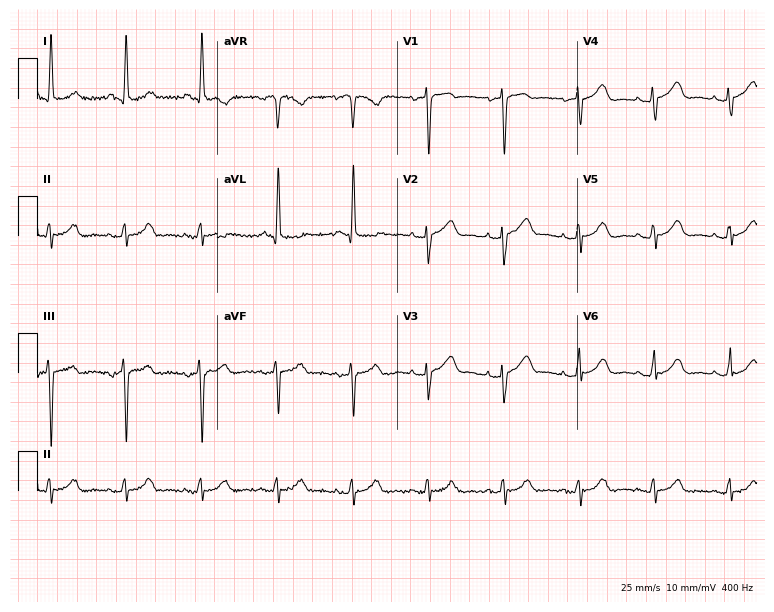
12-lead ECG (7.3-second recording at 400 Hz) from a woman, 84 years old. Screened for six findings — first-degree AV block, right bundle branch block (RBBB), left bundle branch block (LBBB), sinus bradycardia, atrial fibrillation (AF), sinus tachycardia — none is recorded. Other findings, if any, are not listed.